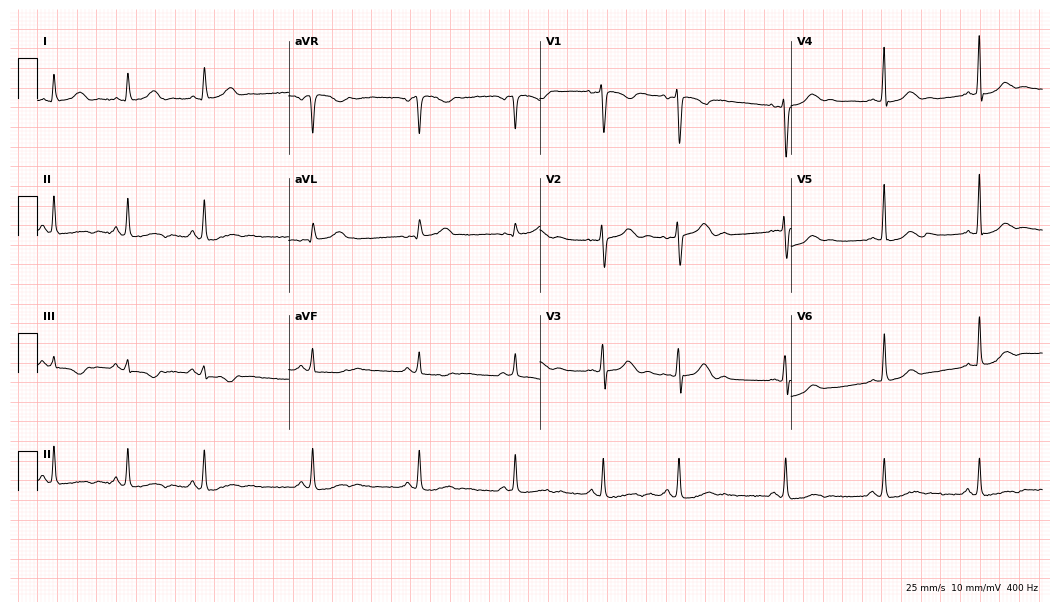
ECG (10.2-second recording at 400 Hz) — a 39-year-old female patient. Labelled as a normal ECG.